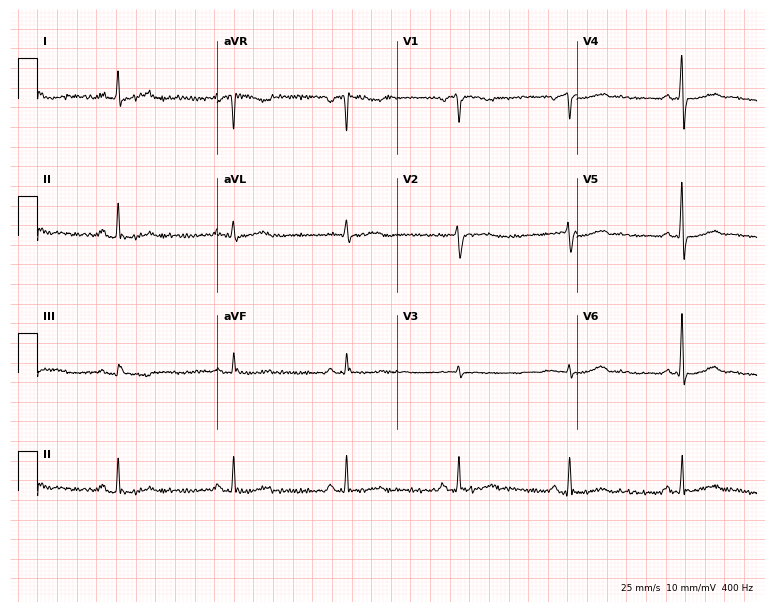
Resting 12-lead electrocardiogram. Patient: a woman, 61 years old. None of these six findings is recorded: first-degree AV block, right bundle branch block (RBBB), left bundle branch block (LBBB), sinus bradycardia, atrial fibrillation (AF), sinus tachycardia.